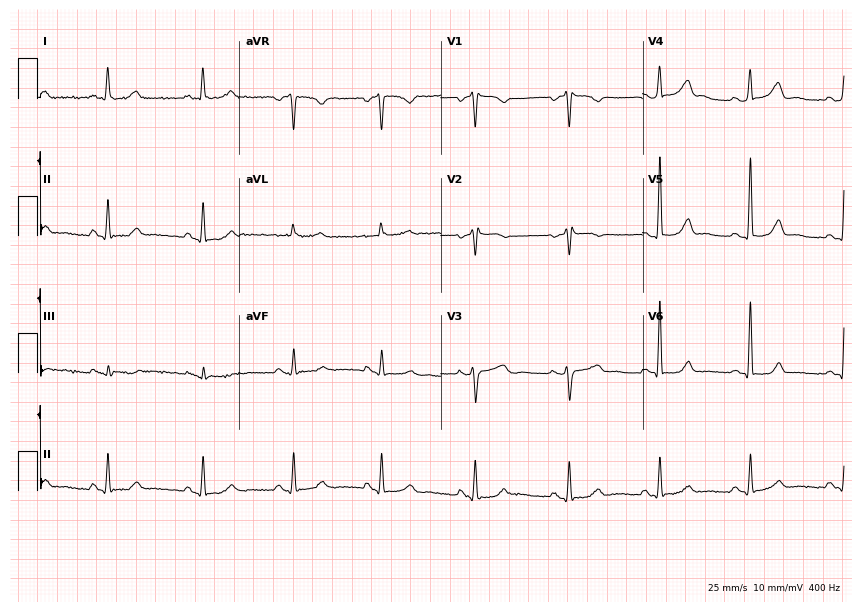
ECG (8.2-second recording at 400 Hz) — a 43-year-old female. Labelled as a normal ECG.